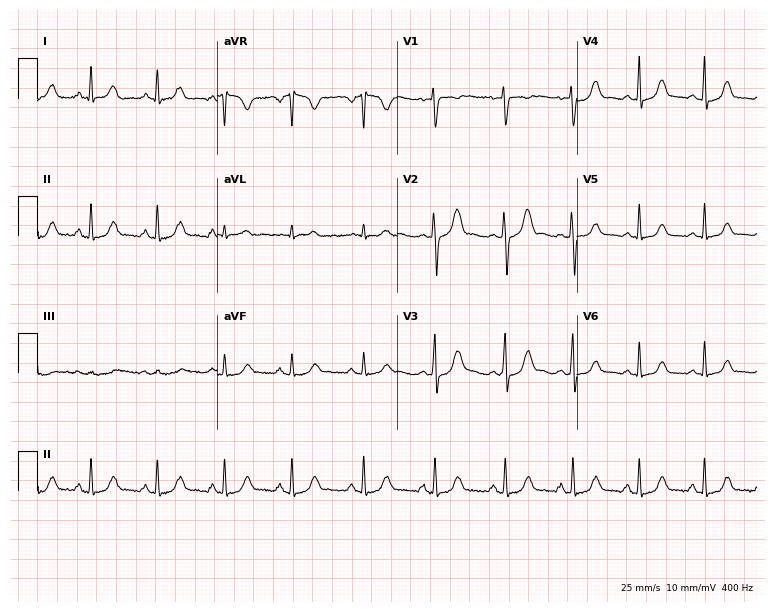
12-lead ECG (7.3-second recording at 400 Hz) from a female patient, 31 years old. Labelled as a normal ECG.